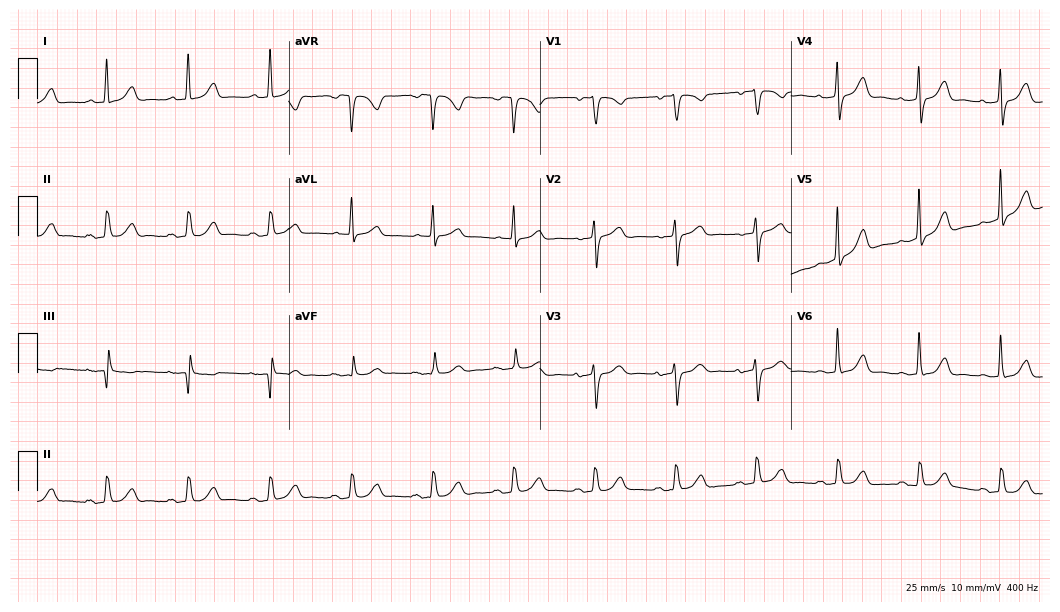
ECG — a 63-year-old woman. Labelled as a normal ECG.